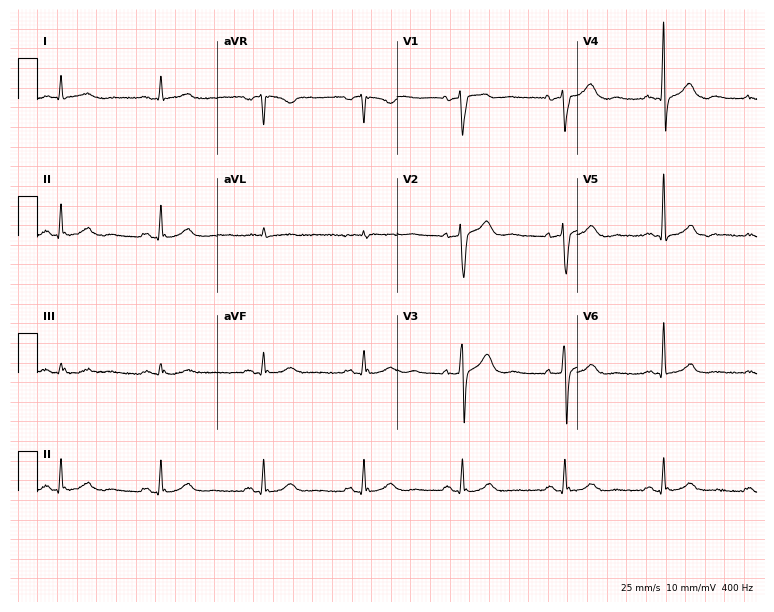
Electrocardiogram (7.3-second recording at 400 Hz), a male, 65 years old. Of the six screened findings (first-degree AV block, right bundle branch block, left bundle branch block, sinus bradycardia, atrial fibrillation, sinus tachycardia), none is recorded.